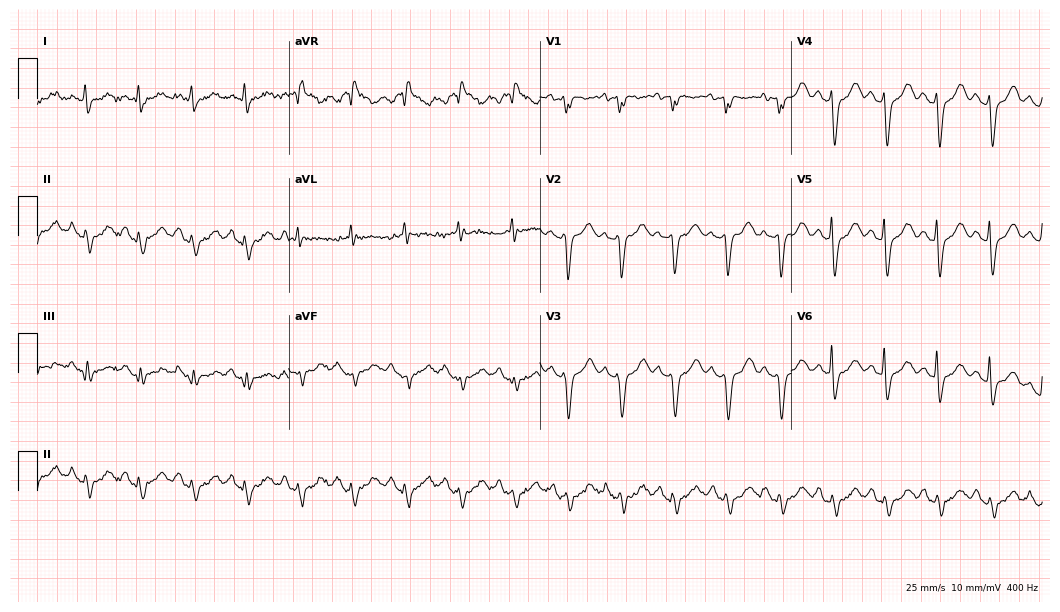
12-lead ECG from a 64-year-old female patient. Shows sinus tachycardia (a sinus rate of 100 beats per minute or more).